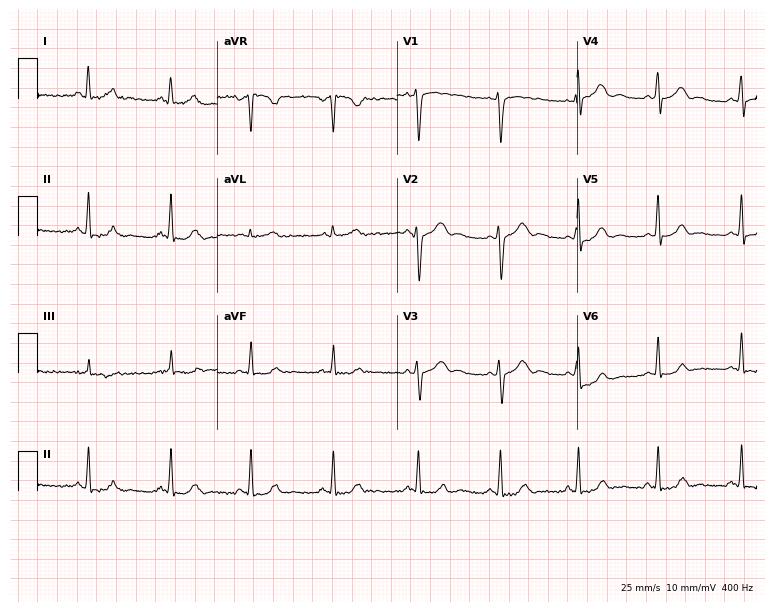
12-lead ECG (7.3-second recording at 400 Hz) from a 46-year-old woman. Screened for six findings — first-degree AV block, right bundle branch block, left bundle branch block, sinus bradycardia, atrial fibrillation, sinus tachycardia — none is recorded.